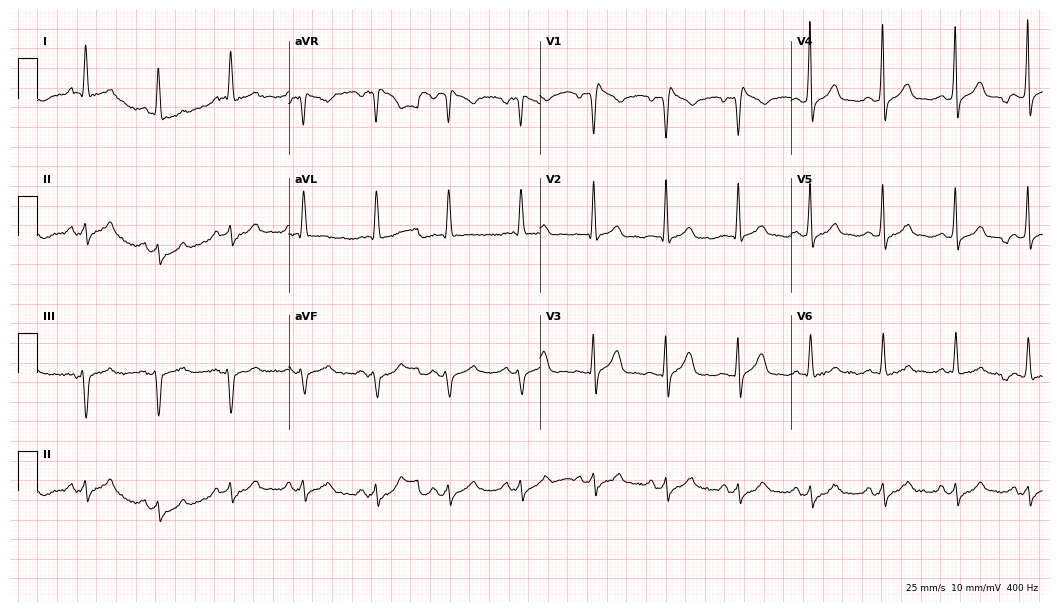
ECG — a male, 43 years old. Findings include right bundle branch block (RBBB).